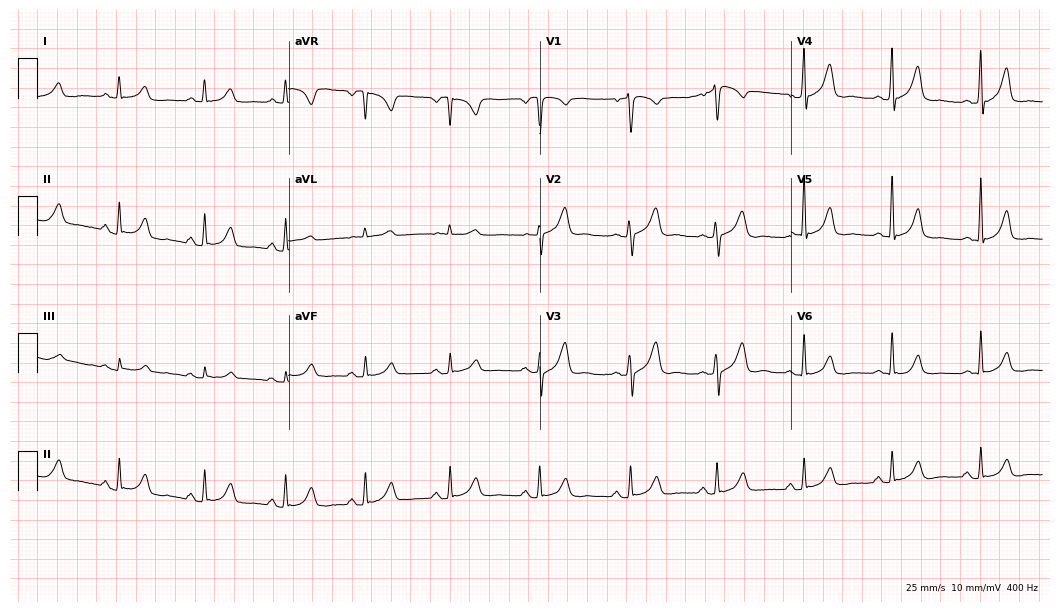
ECG (10.2-second recording at 400 Hz) — a 52-year-old man. Labelled as a normal ECG.